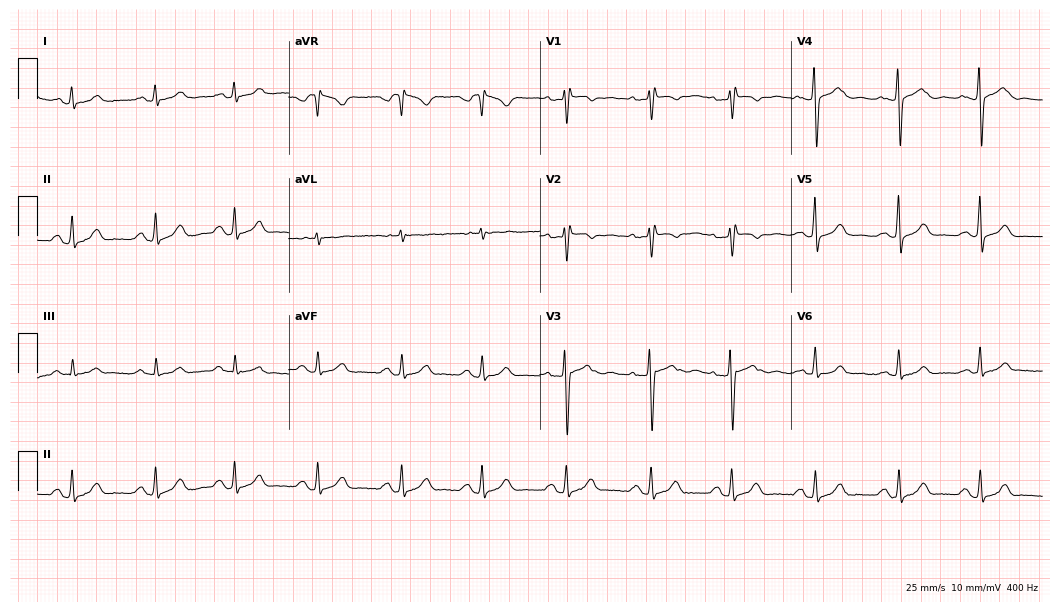
Standard 12-lead ECG recorded from an 18-year-old female (10.2-second recording at 400 Hz). None of these six findings is recorded: first-degree AV block, right bundle branch block, left bundle branch block, sinus bradycardia, atrial fibrillation, sinus tachycardia. Findings outside these six are not listed.